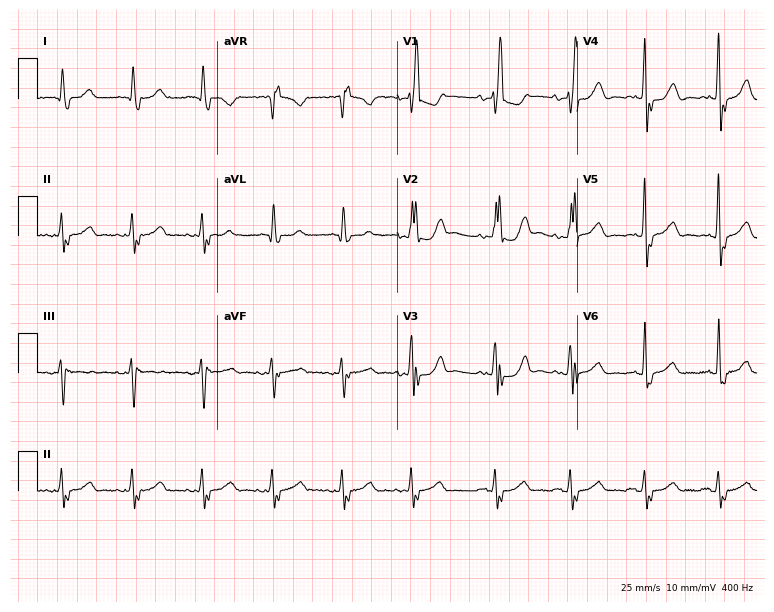
12-lead ECG from a 71-year-old woman. Screened for six findings — first-degree AV block, right bundle branch block, left bundle branch block, sinus bradycardia, atrial fibrillation, sinus tachycardia — none is recorded.